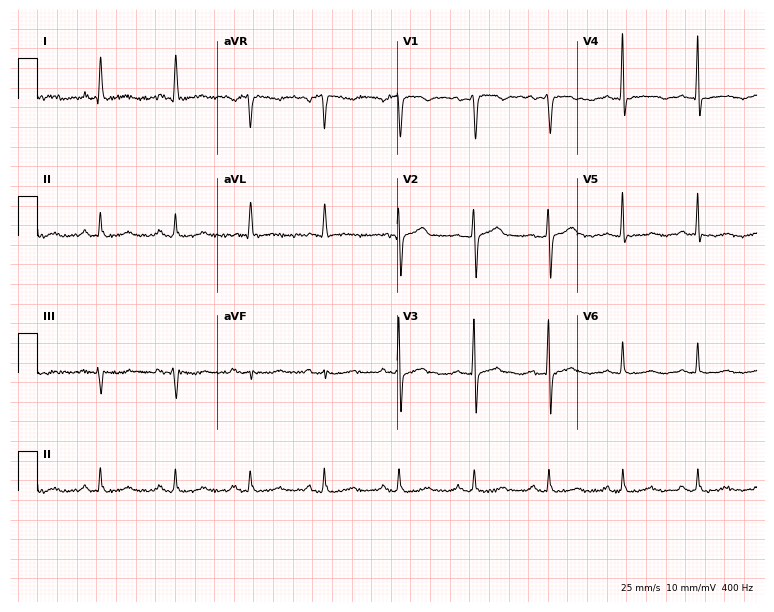
Standard 12-lead ECG recorded from a 60-year-old female. Read as a normal ECG.